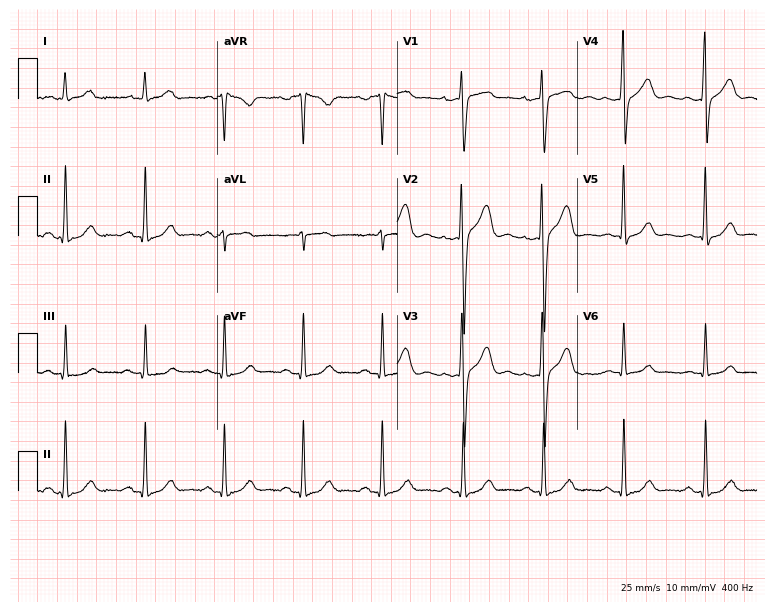
12-lead ECG from a 38-year-old male patient. Recorded interpretation: within normal limits.